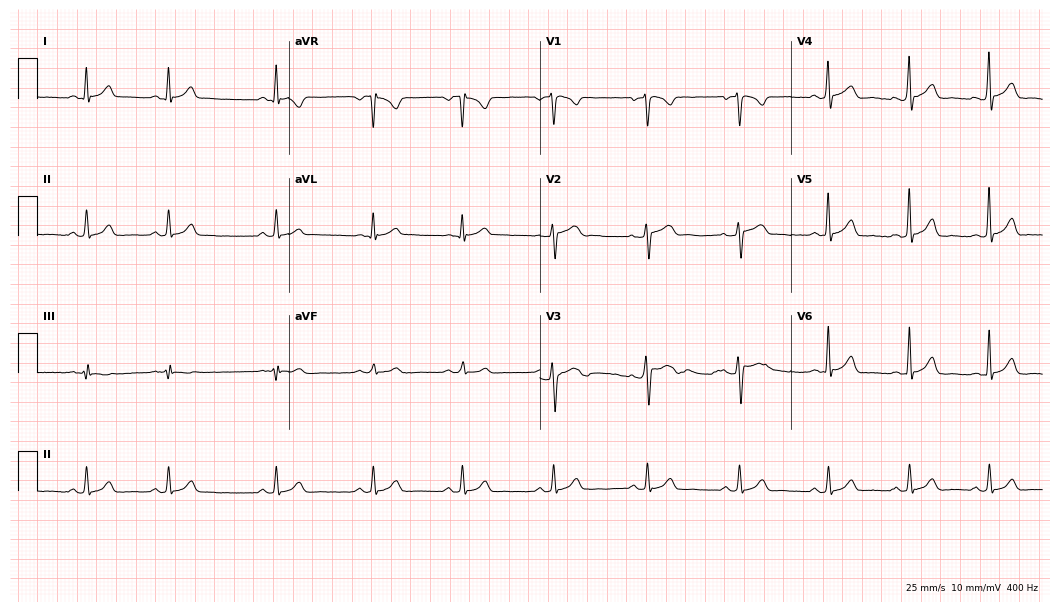
ECG (10.2-second recording at 400 Hz) — a 44-year-old male. Labelled as a normal ECG.